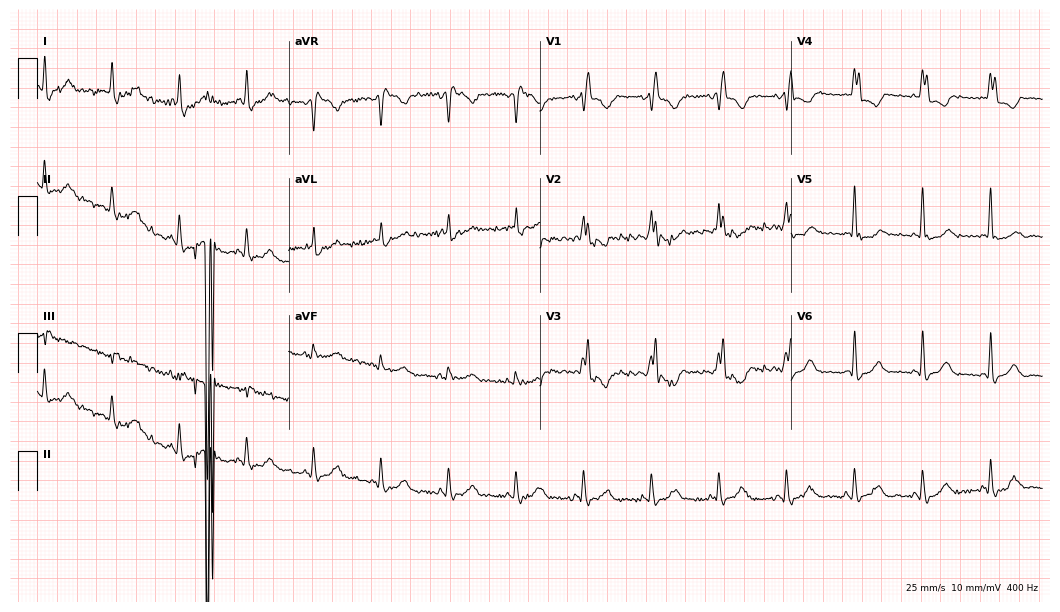
12-lead ECG from a 78-year-old woman. No first-degree AV block, right bundle branch block, left bundle branch block, sinus bradycardia, atrial fibrillation or sinus tachycardia recorded for this tracing. Findings outside these six are not listed.